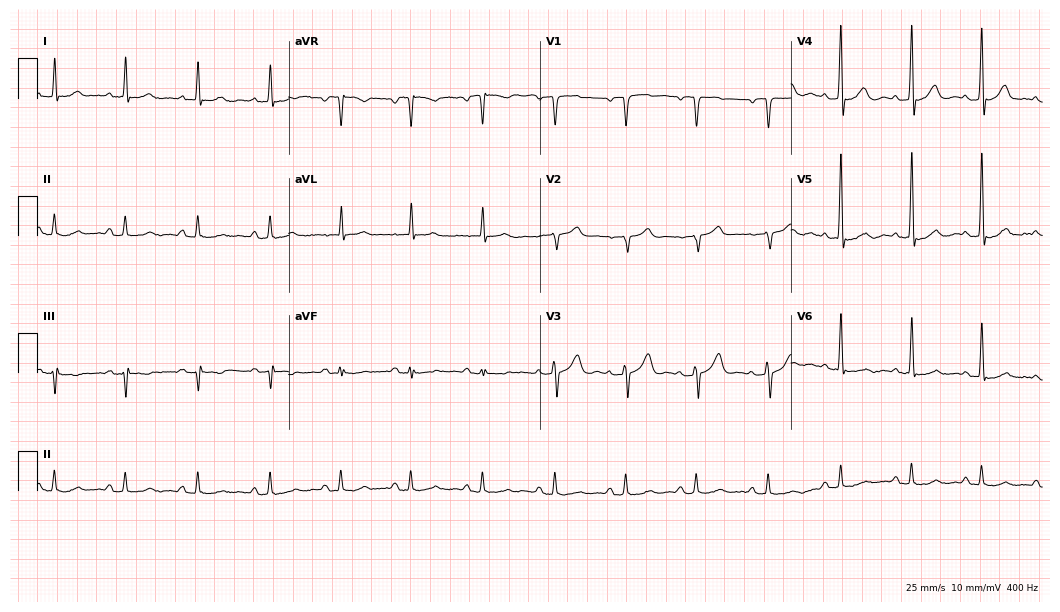
Resting 12-lead electrocardiogram (10.2-second recording at 400 Hz). Patient: a male, 70 years old. Read as a normal ECG.